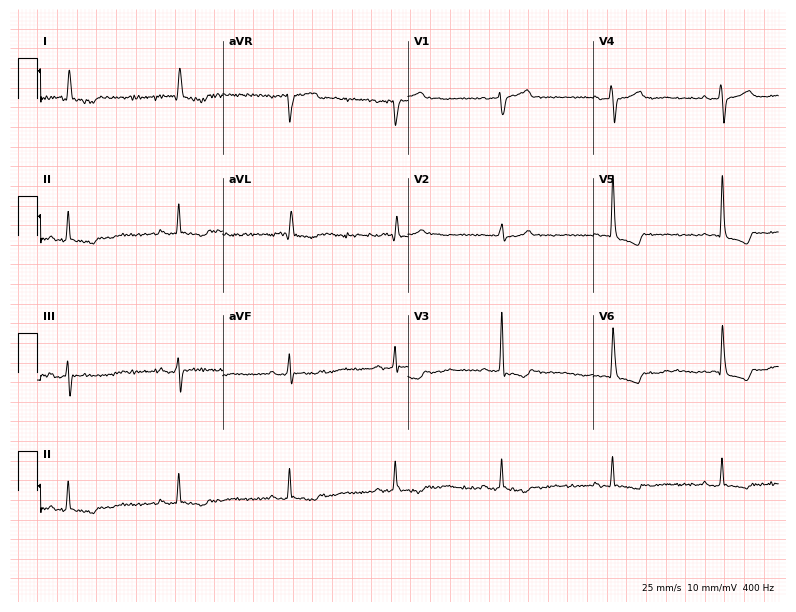
ECG (7.6-second recording at 400 Hz) — a 72-year-old male. Screened for six findings — first-degree AV block, right bundle branch block, left bundle branch block, sinus bradycardia, atrial fibrillation, sinus tachycardia — none is recorded.